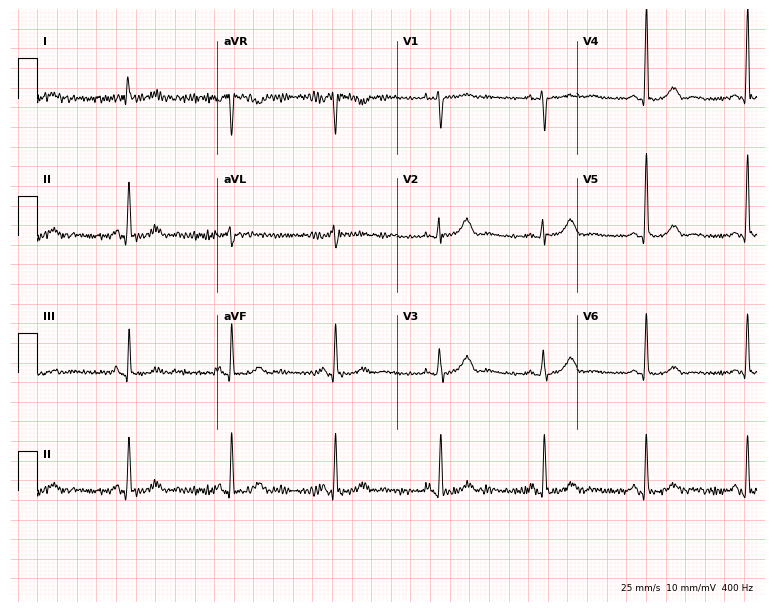
12-lead ECG from a 51-year-old female patient (7.3-second recording at 400 Hz). No first-degree AV block, right bundle branch block, left bundle branch block, sinus bradycardia, atrial fibrillation or sinus tachycardia recorded for this tracing. Findings outside these six are not listed.